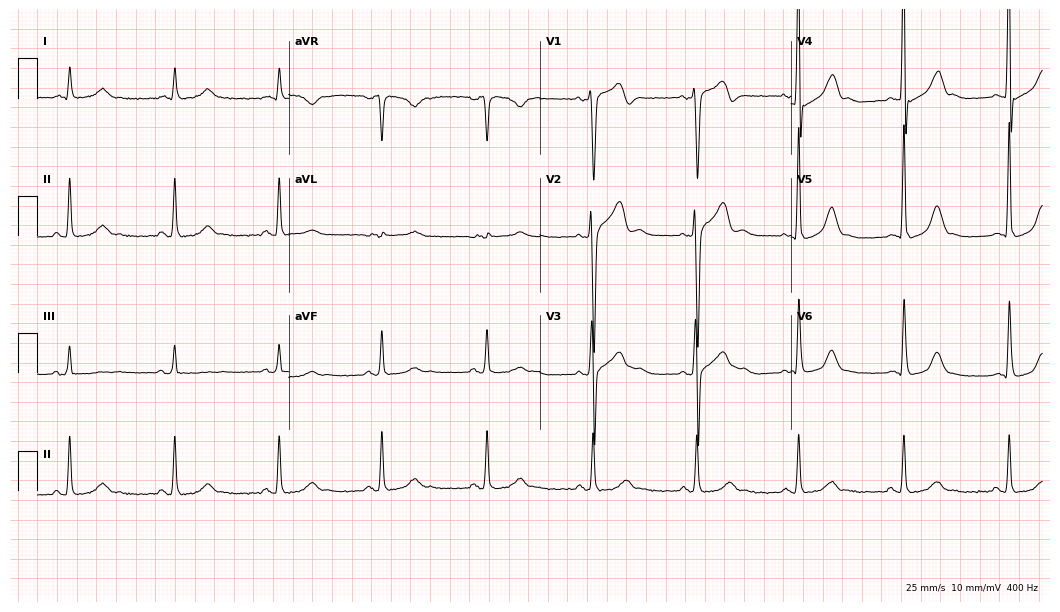
Resting 12-lead electrocardiogram (10.2-second recording at 400 Hz). Patient: a 46-year-old male. Read as a normal ECG.